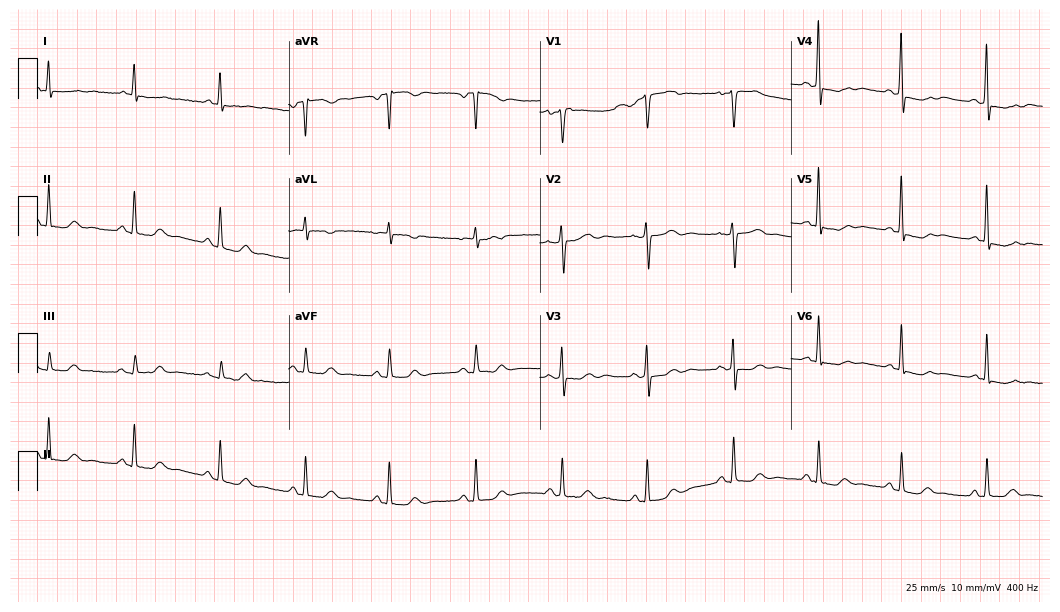
12-lead ECG from an 80-year-old woman. No first-degree AV block, right bundle branch block, left bundle branch block, sinus bradycardia, atrial fibrillation or sinus tachycardia recorded for this tracing. Other findings, if any, are not listed.